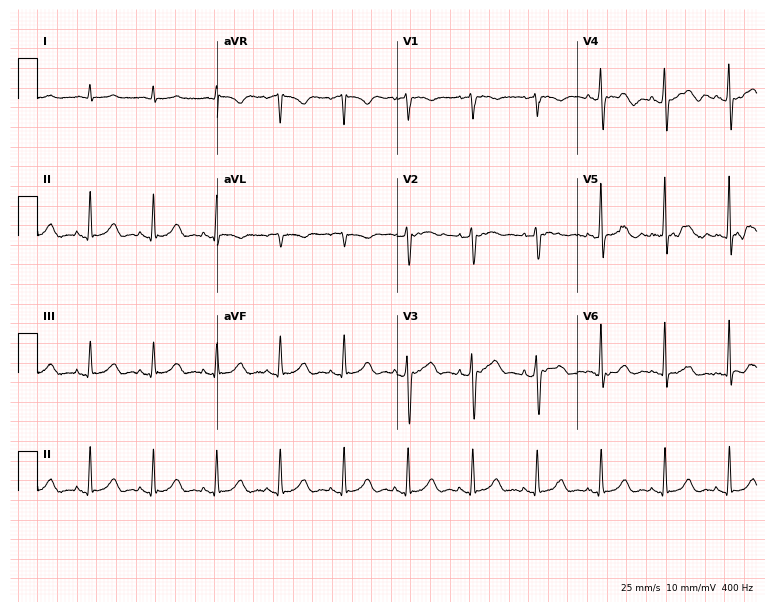
Electrocardiogram (7.3-second recording at 400 Hz), a 77-year-old man. Overall reading on record: normal ECG.